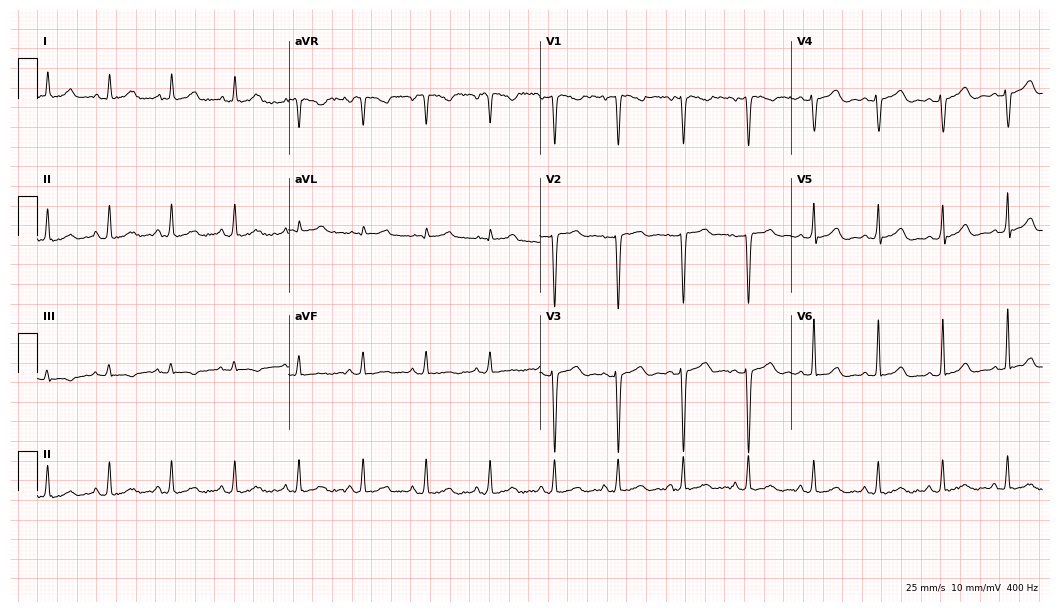
12-lead ECG from a 39-year-old female patient. Labelled as a normal ECG.